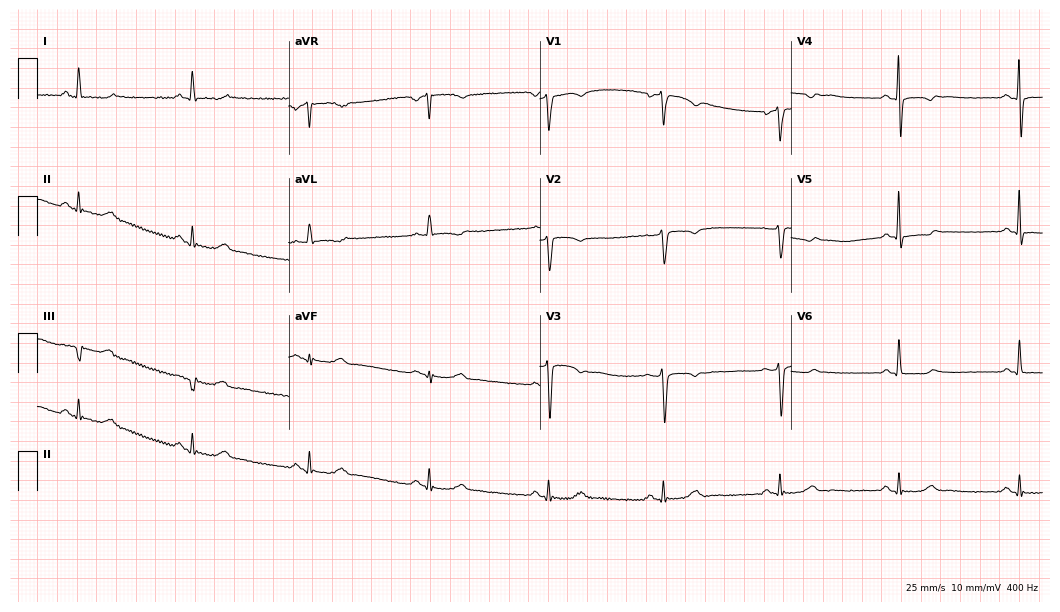
12-lead ECG from a 74-year-old female patient (10.2-second recording at 400 Hz). Shows sinus bradycardia (a sinus rate of 50 beats per minute or less).